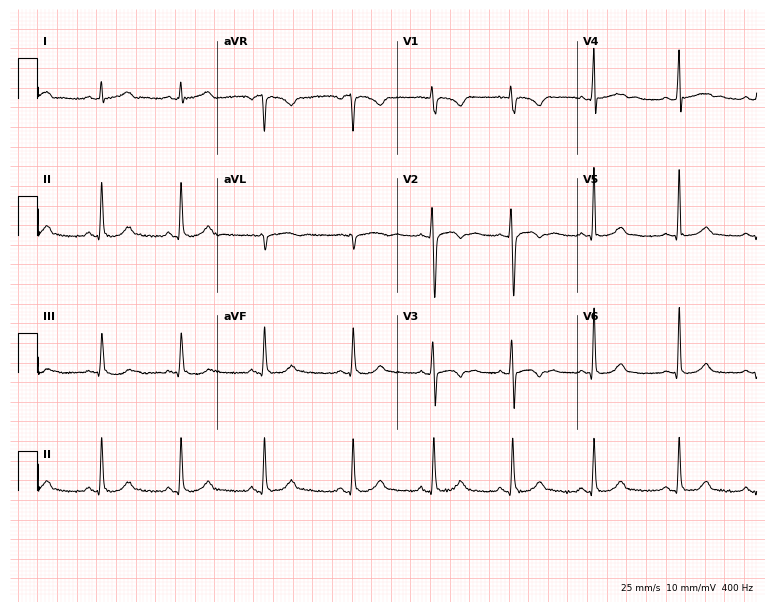
12-lead ECG from a 23-year-old woman (7.3-second recording at 400 Hz). No first-degree AV block, right bundle branch block, left bundle branch block, sinus bradycardia, atrial fibrillation or sinus tachycardia recorded for this tracing.